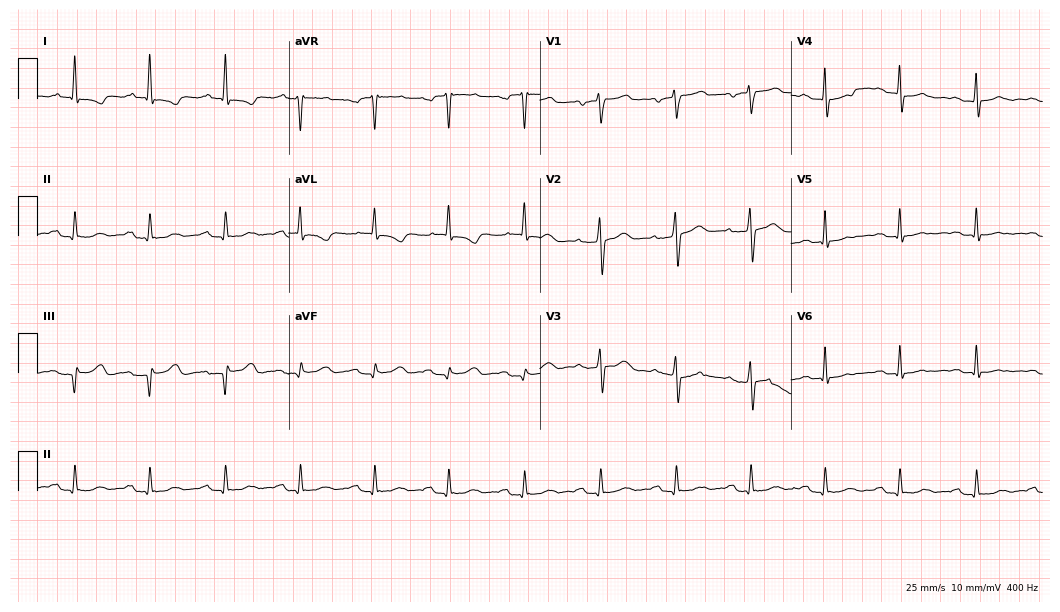
12-lead ECG (10.2-second recording at 400 Hz) from a male patient, 69 years old. Screened for six findings — first-degree AV block, right bundle branch block, left bundle branch block, sinus bradycardia, atrial fibrillation, sinus tachycardia — none is recorded. Other findings, if any, are not listed.